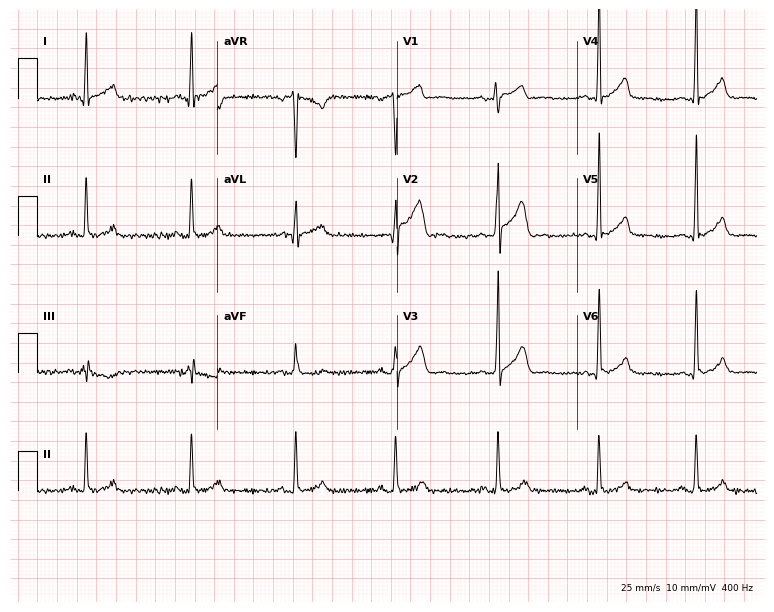
Resting 12-lead electrocardiogram. Patient: a 32-year-old male. Read as a normal ECG.